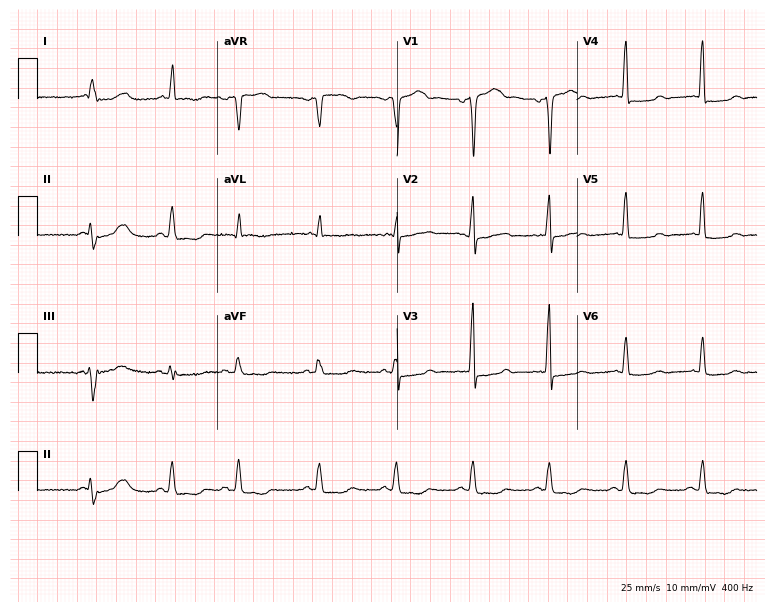
Electrocardiogram, a male patient, 64 years old. Of the six screened findings (first-degree AV block, right bundle branch block (RBBB), left bundle branch block (LBBB), sinus bradycardia, atrial fibrillation (AF), sinus tachycardia), none is recorded. Only these six findings were labelled.